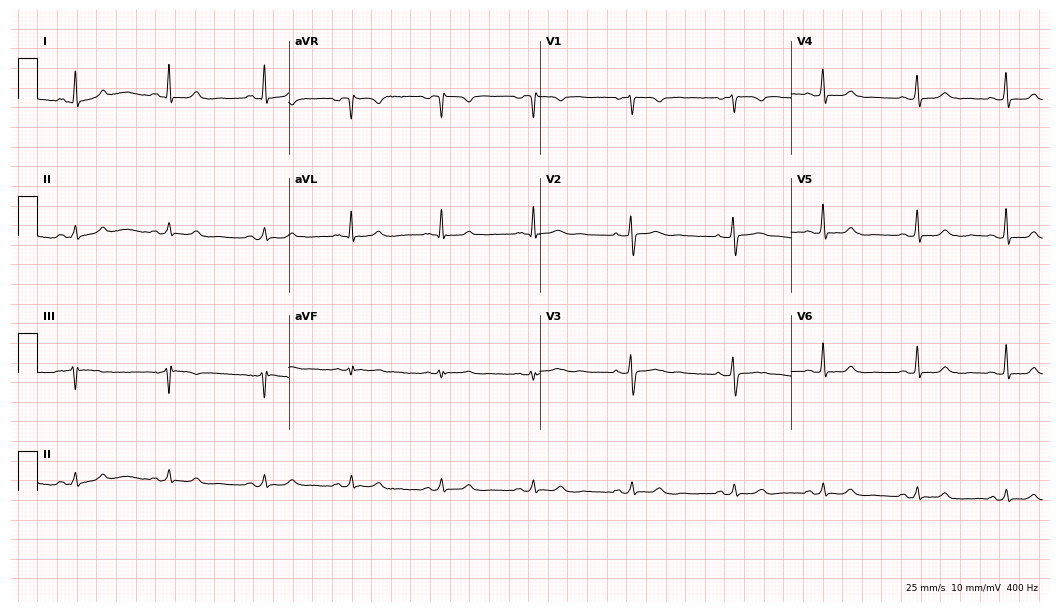
12-lead ECG from a woman, 38 years old. Recorded interpretation: within normal limits.